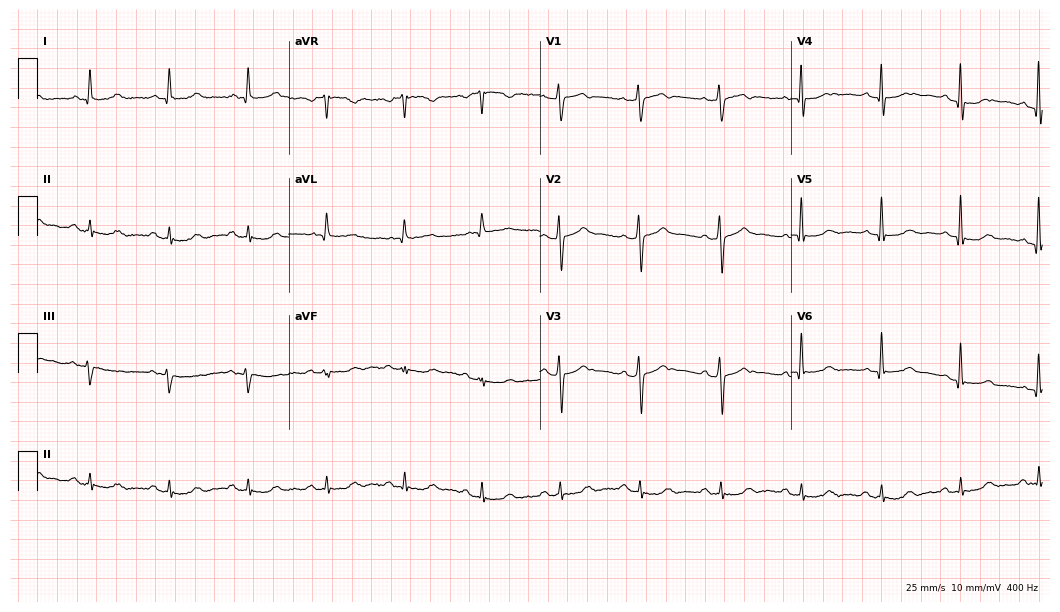
12-lead ECG from a female patient, 76 years old (10.2-second recording at 400 Hz). No first-degree AV block, right bundle branch block, left bundle branch block, sinus bradycardia, atrial fibrillation or sinus tachycardia recorded for this tracing.